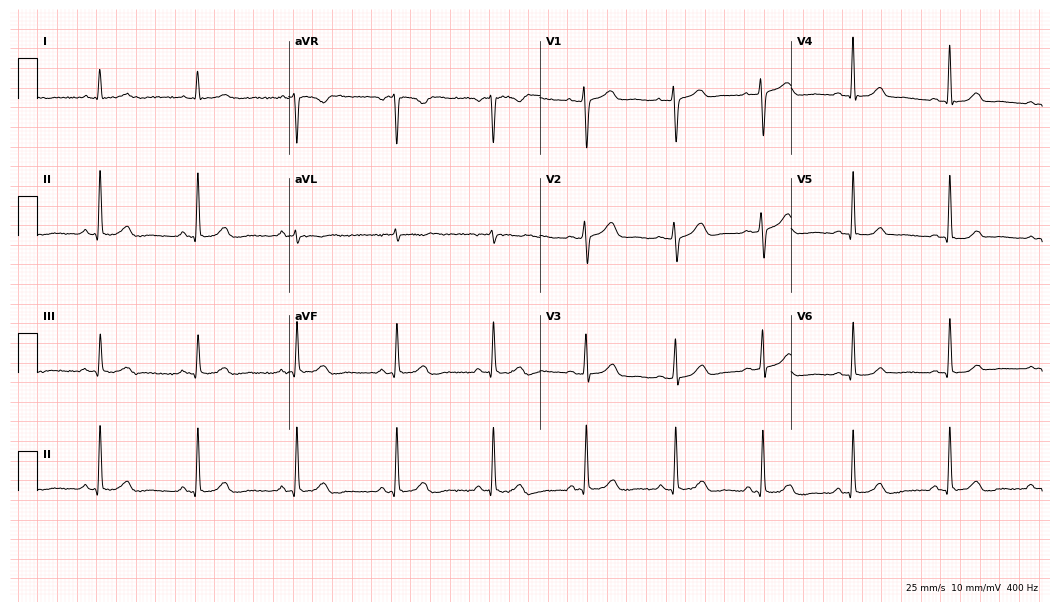
ECG (10.2-second recording at 400 Hz) — a female patient, 56 years old. Screened for six findings — first-degree AV block, right bundle branch block, left bundle branch block, sinus bradycardia, atrial fibrillation, sinus tachycardia — none is recorded. Only these six findings were labelled.